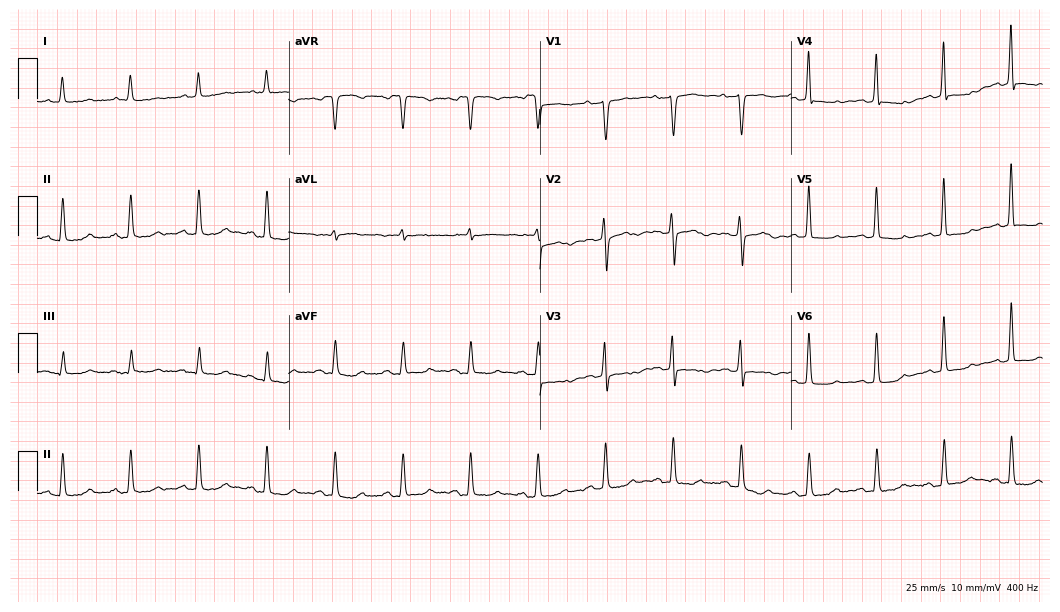
12-lead ECG (10.2-second recording at 400 Hz) from a female patient, 82 years old. Screened for six findings — first-degree AV block, right bundle branch block, left bundle branch block, sinus bradycardia, atrial fibrillation, sinus tachycardia — none is recorded. Other findings, if any, are not listed.